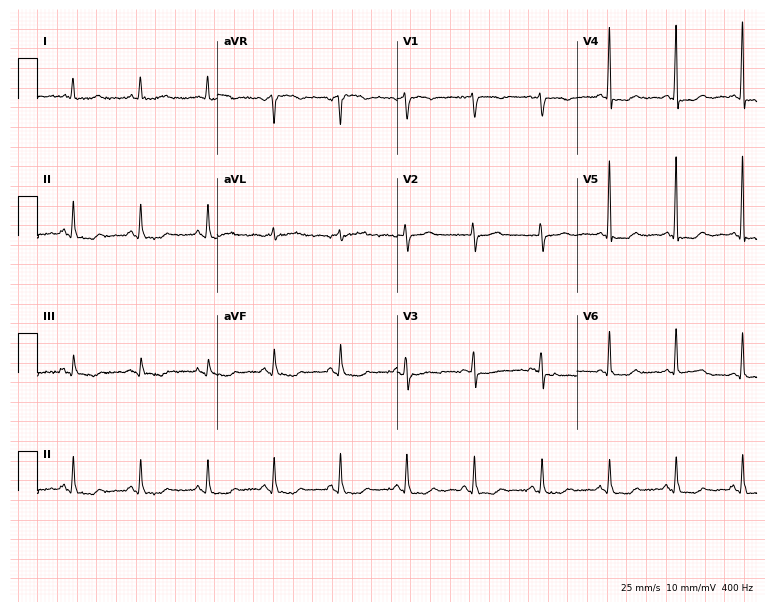
12-lead ECG from a woman, 69 years old (7.3-second recording at 400 Hz). No first-degree AV block, right bundle branch block, left bundle branch block, sinus bradycardia, atrial fibrillation or sinus tachycardia recorded for this tracing.